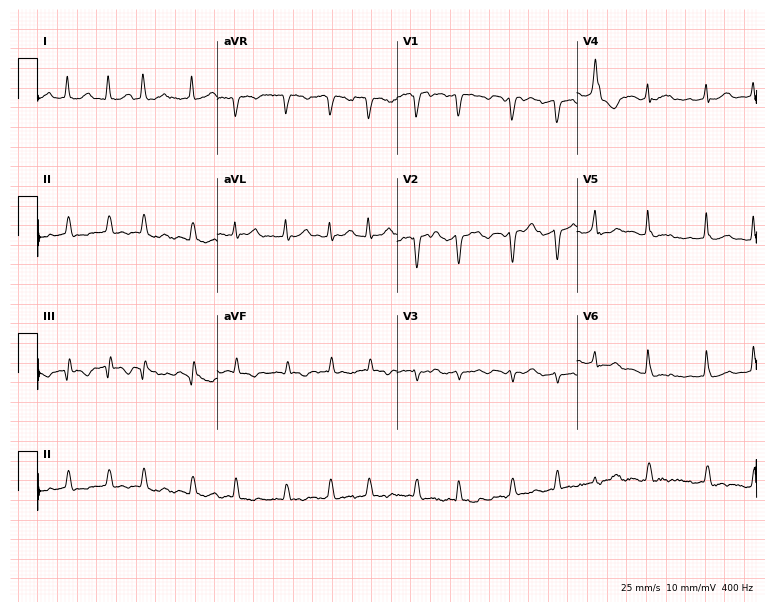
12-lead ECG from a female, 82 years old. Findings include atrial fibrillation.